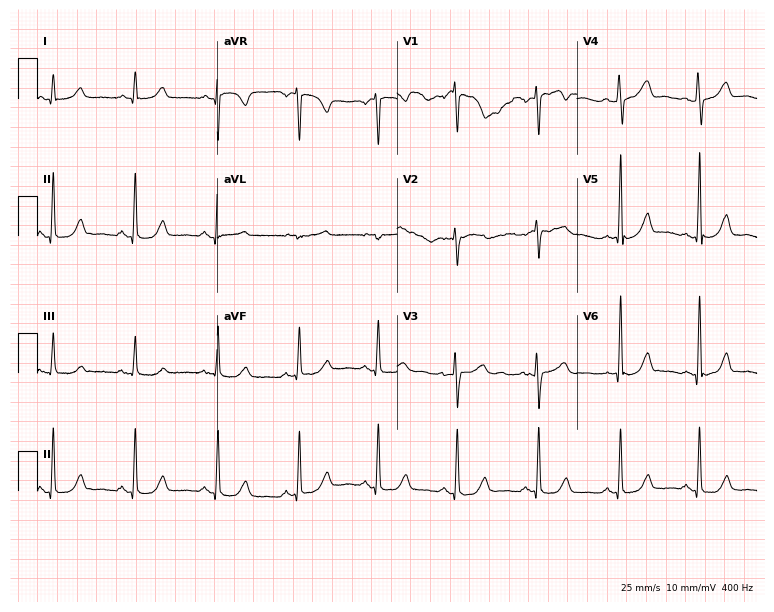
12-lead ECG (7.3-second recording at 400 Hz) from a 55-year-old female patient. Labelled as a normal ECG.